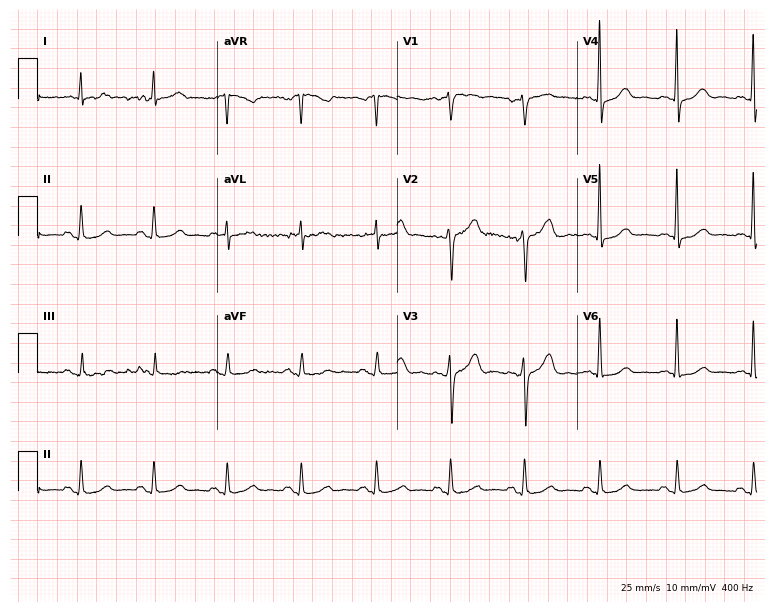
ECG — a woman, 63 years old. Screened for six findings — first-degree AV block, right bundle branch block (RBBB), left bundle branch block (LBBB), sinus bradycardia, atrial fibrillation (AF), sinus tachycardia — none is recorded. Findings outside these six are not listed.